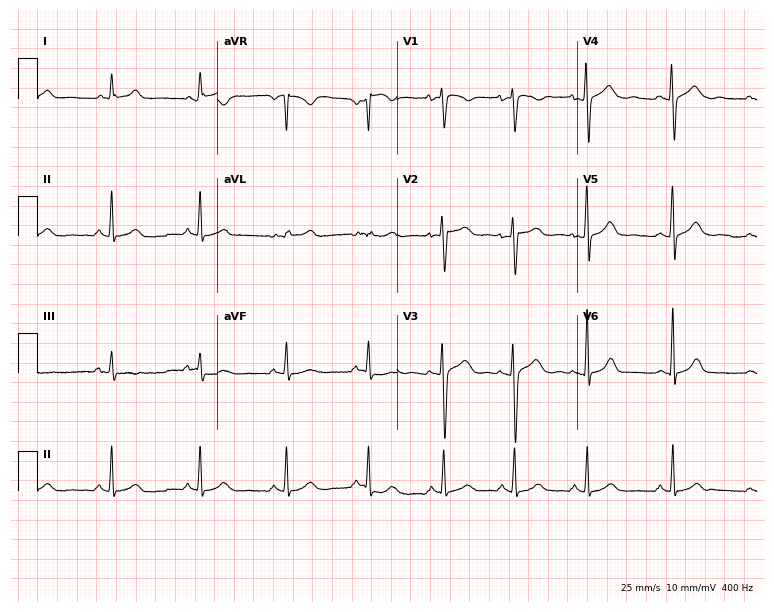
Standard 12-lead ECG recorded from a female, 28 years old. Read as a normal ECG.